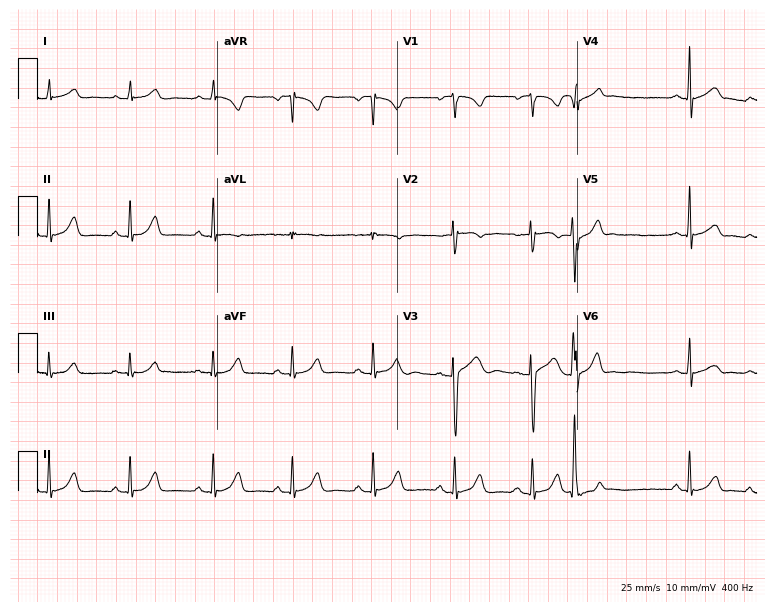
Electrocardiogram (7.3-second recording at 400 Hz), a 22-year-old female. Of the six screened findings (first-degree AV block, right bundle branch block, left bundle branch block, sinus bradycardia, atrial fibrillation, sinus tachycardia), none is recorded.